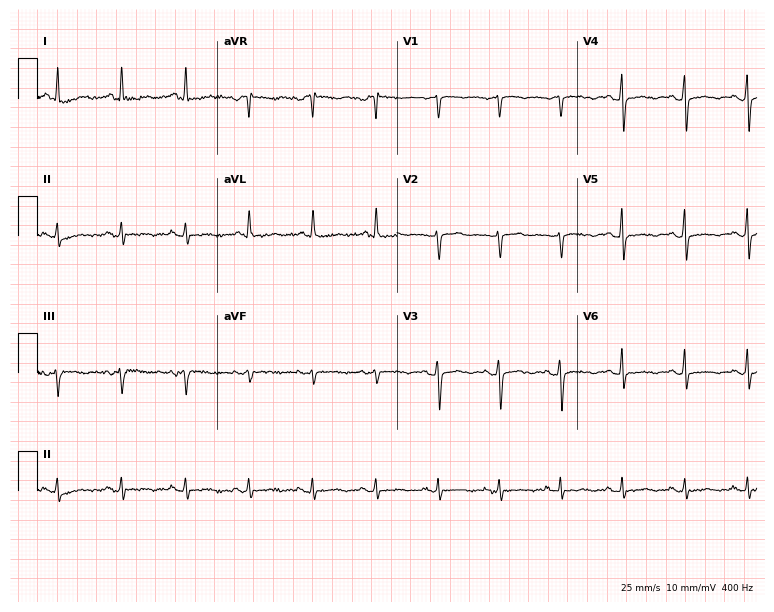
12-lead ECG (7.3-second recording at 400 Hz) from a 43-year-old female patient. Screened for six findings — first-degree AV block, right bundle branch block, left bundle branch block, sinus bradycardia, atrial fibrillation, sinus tachycardia — none is recorded.